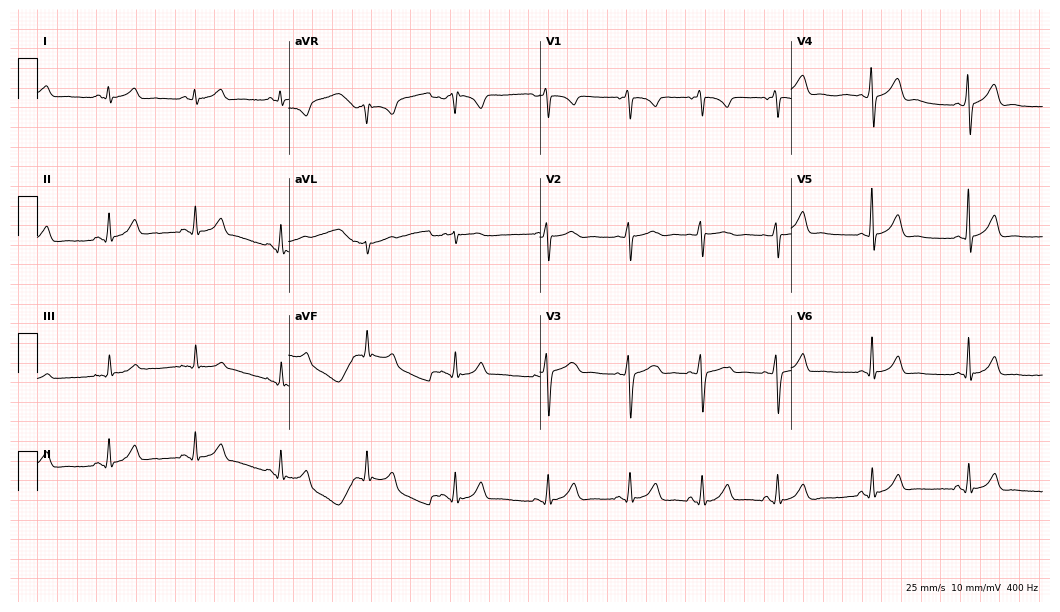
12-lead ECG from a male patient, 28 years old. No first-degree AV block, right bundle branch block, left bundle branch block, sinus bradycardia, atrial fibrillation or sinus tachycardia recorded for this tracing.